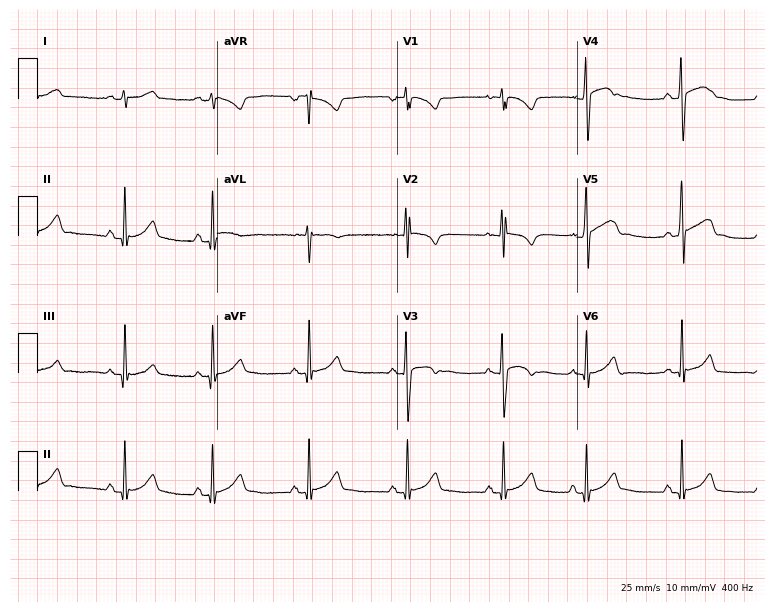
Standard 12-lead ECG recorded from a male patient, 18 years old (7.3-second recording at 400 Hz). Read as a normal ECG.